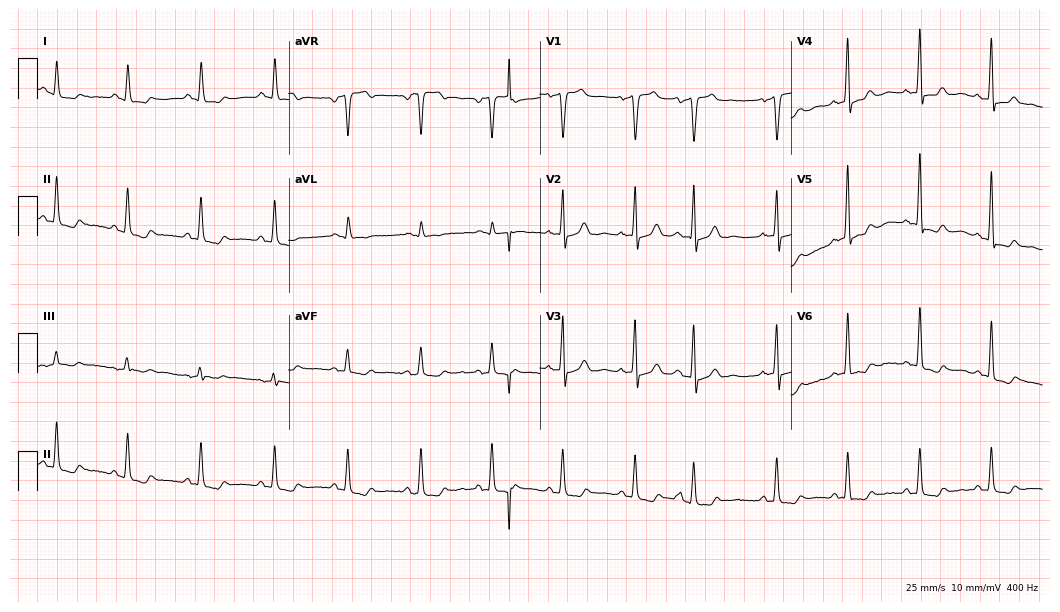
Electrocardiogram, a man, 61 years old. Of the six screened findings (first-degree AV block, right bundle branch block, left bundle branch block, sinus bradycardia, atrial fibrillation, sinus tachycardia), none is recorded. Findings outside these six are not listed.